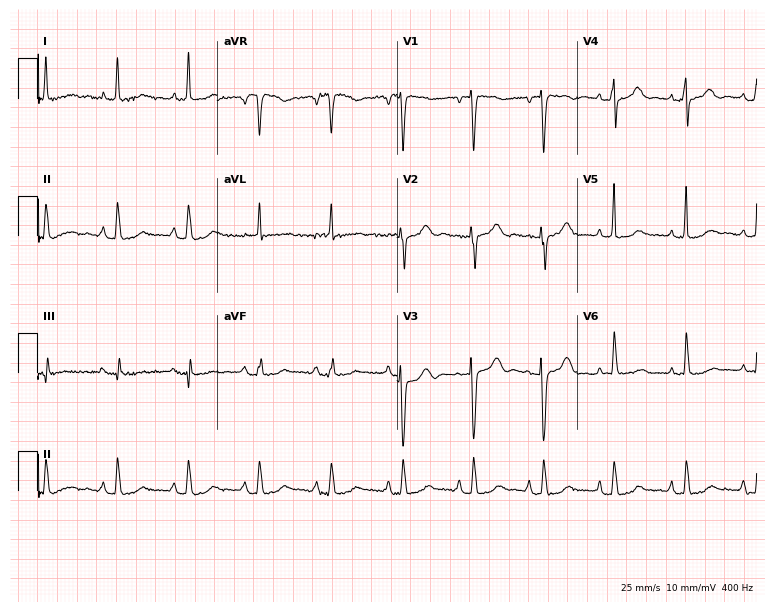
12-lead ECG (7.3-second recording at 400 Hz) from a 77-year-old female patient. Labelled as a normal ECG.